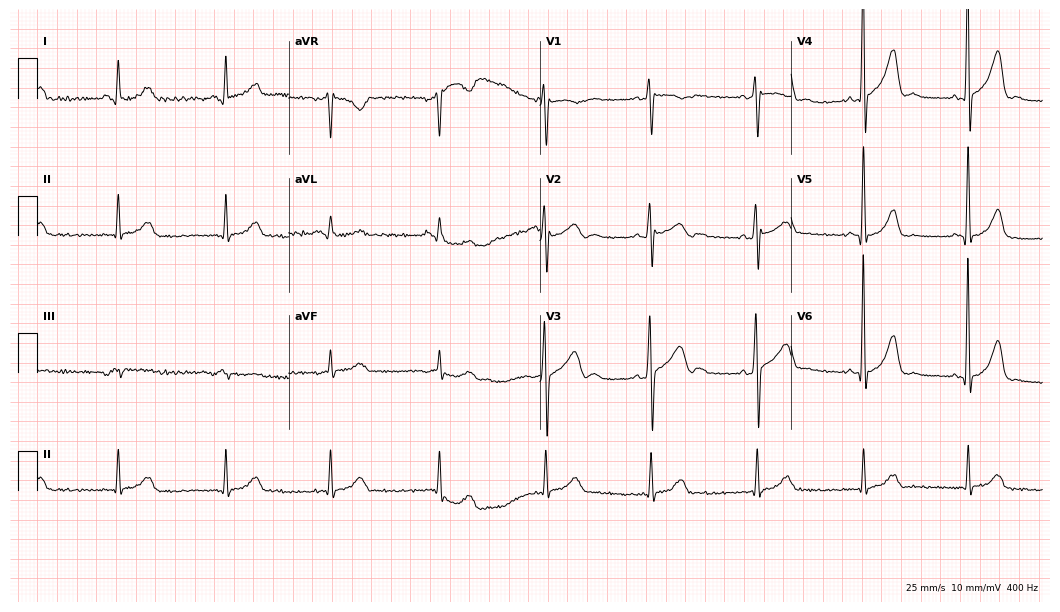
Electrocardiogram, a male, 54 years old. Of the six screened findings (first-degree AV block, right bundle branch block, left bundle branch block, sinus bradycardia, atrial fibrillation, sinus tachycardia), none is recorded. Other findings, if any, are not listed.